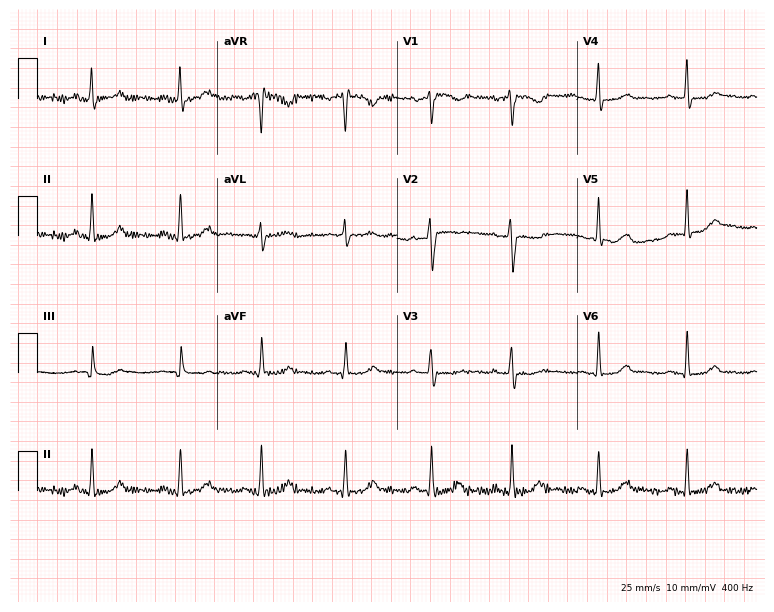
12-lead ECG from a 29-year-old woman (7.3-second recording at 400 Hz). No first-degree AV block, right bundle branch block, left bundle branch block, sinus bradycardia, atrial fibrillation or sinus tachycardia recorded for this tracing.